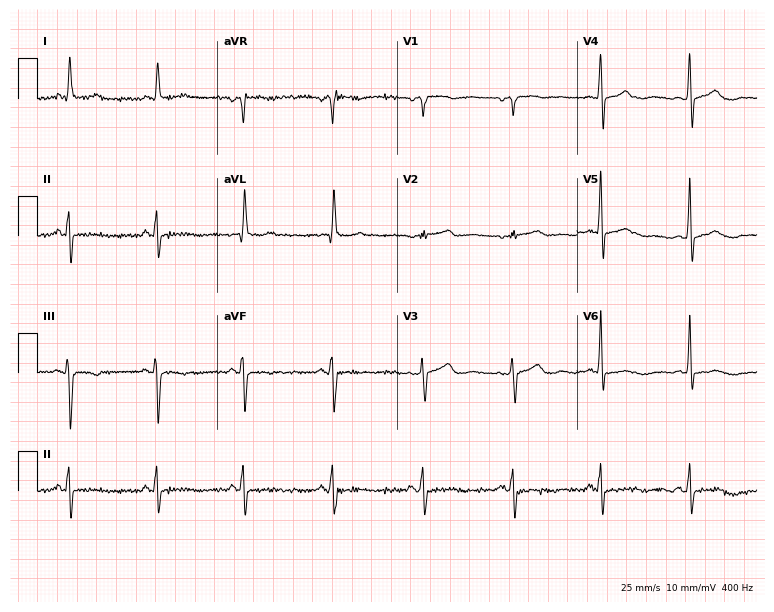
Resting 12-lead electrocardiogram (7.3-second recording at 400 Hz). Patient: a female, 80 years old. None of these six findings is recorded: first-degree AV block, right bundle branch block, left bundle branch block, sinus bradycardia, atrial fibrillation, sinus tachycardia.